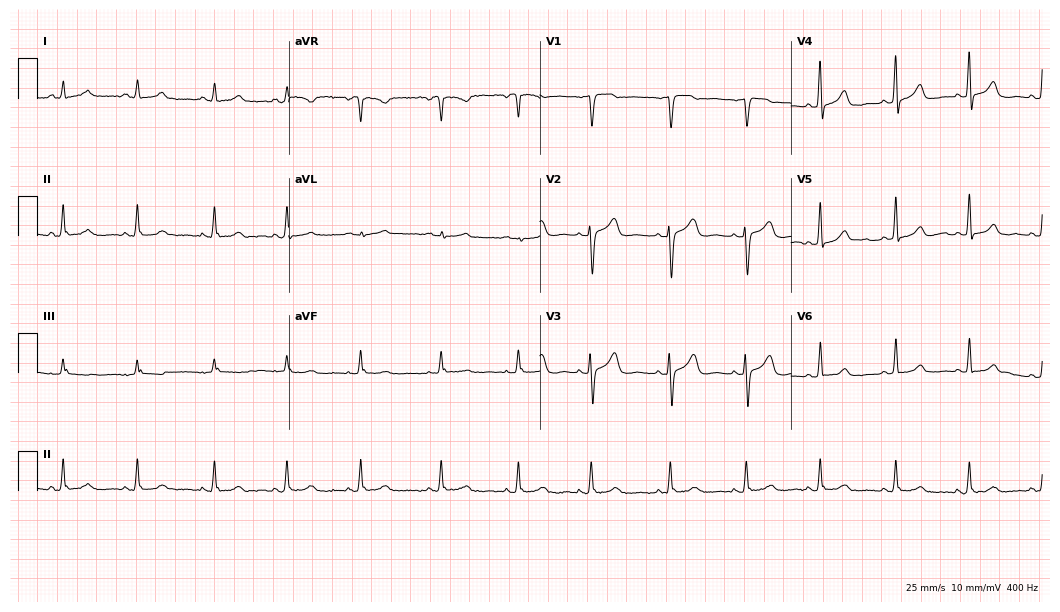
12-lead ECG (10.2-second recording at 400 Hz) from a 50-year-old female. Labelled as a normal ECG.